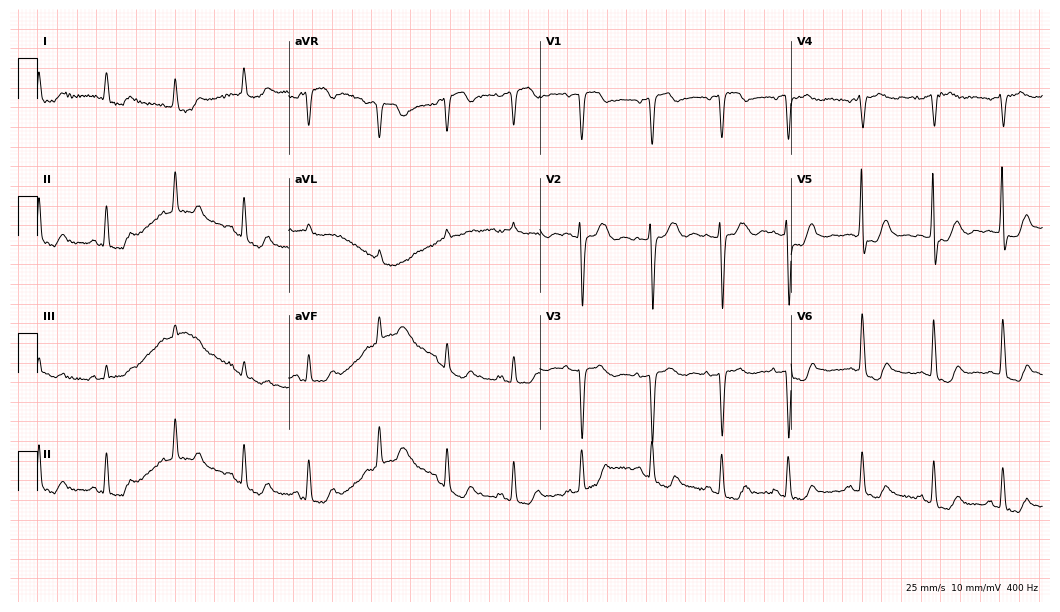
ECG (10.2-second recording at 400 Hz) — a female patient, 76 years old. Screened for six findings — first-degree AV block, right bundle branch block (RBBB), left bundle branch block (LBBB), sinus bradycardia, atrial fibrillation (AF), sinus tachycardia — none is recorded. Only these six findings were labelled.